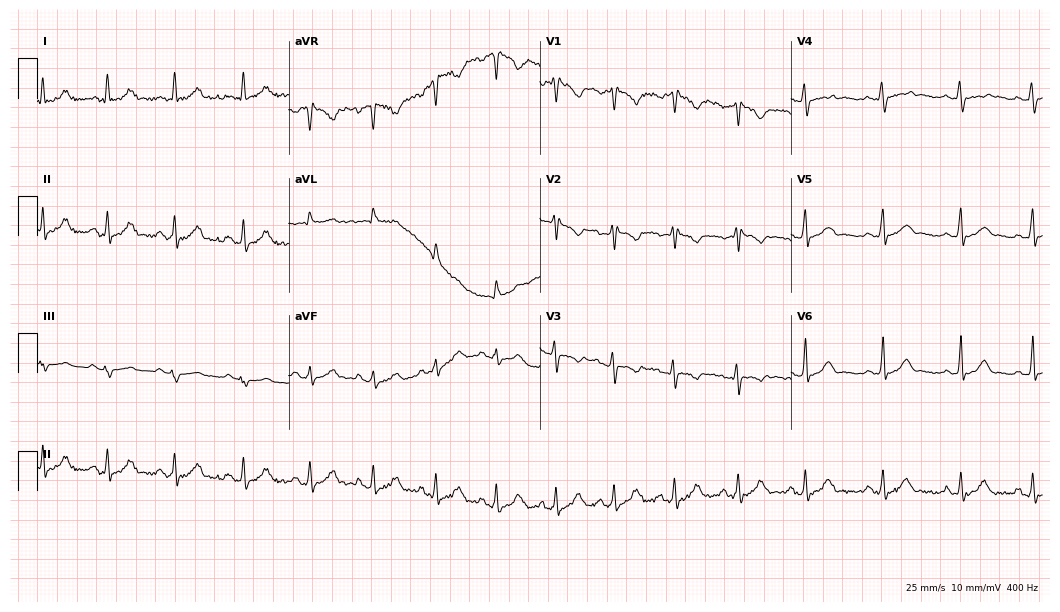
Resting 12-lead electrocardiogram (10.2-second recording at 400 Hz). Patient: a 31-year-old woman. None of these six findings is recorded: first-degree AV block, right bundle branch block, left bundle branch block, sinus bradycardia, atrial fibrillation, sinus tachycardia. Other findings, if any, are not listed.